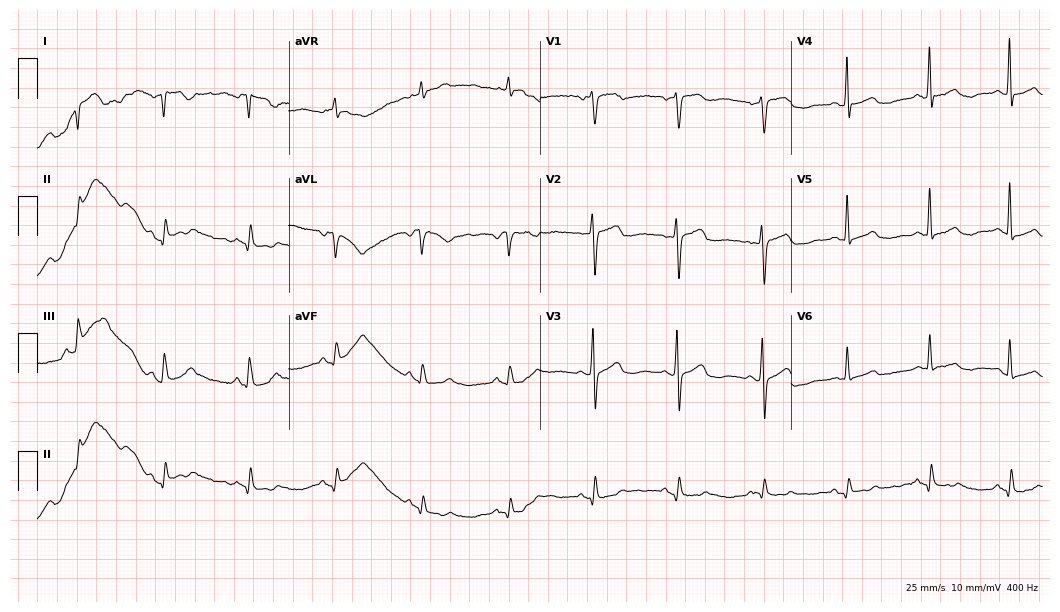
Resting 12-lead electrocardiogram. Patient: a 77-year-old male. None of these six findings is recorded: first-degree AV block, right bundle branch block (RBBB), left bundle branch block (LBBB), sinus bradycardia, atrial fibrillation (AF), sinus tachycardia. Only these six findings were labelled.